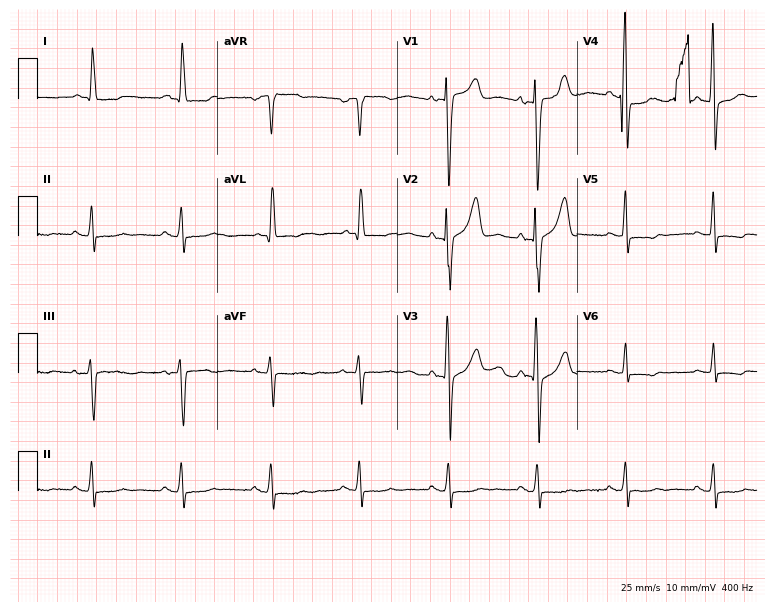
Standard 12-lead ECG recorded from a 72-year-old male patient. None of these six findings is recorded: first-degree AV block, right bundle branch block, left bundle branch block, sinus bradycardia, atrial fibrillation, sinus tachycardia.